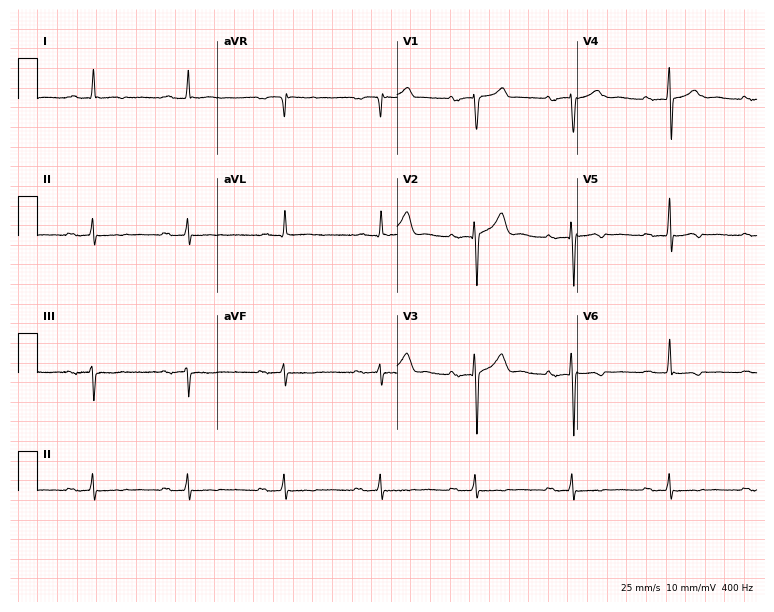
12-lead ECG from a man, 82 years old. Recorded interpretation: within normal limits.